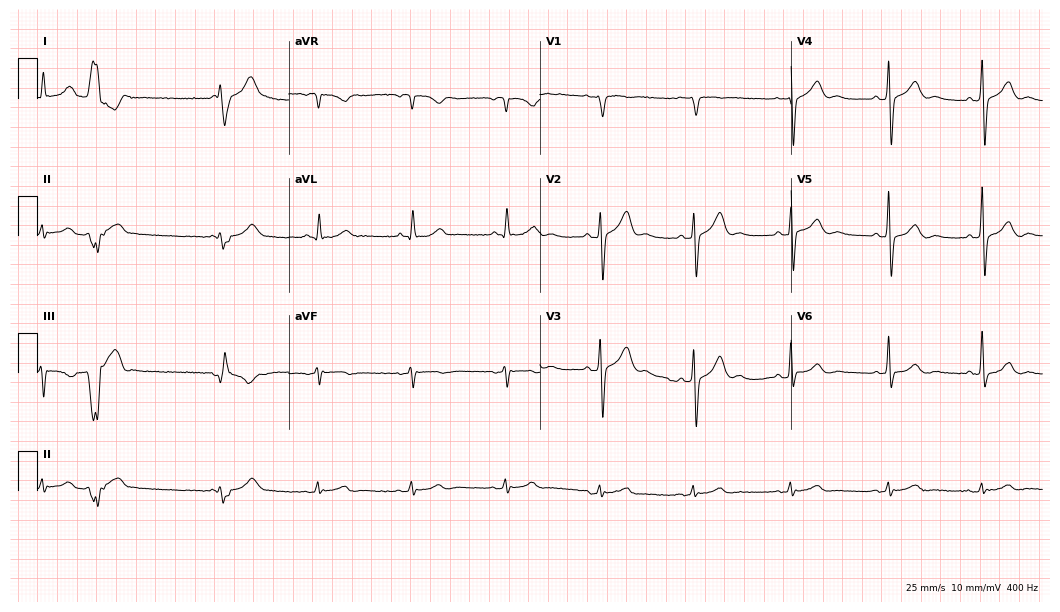
Electrocardiogram (10.2-second recording at 400 Hz), a 63-year-old male patient. Overall reading on record: normal ECG.